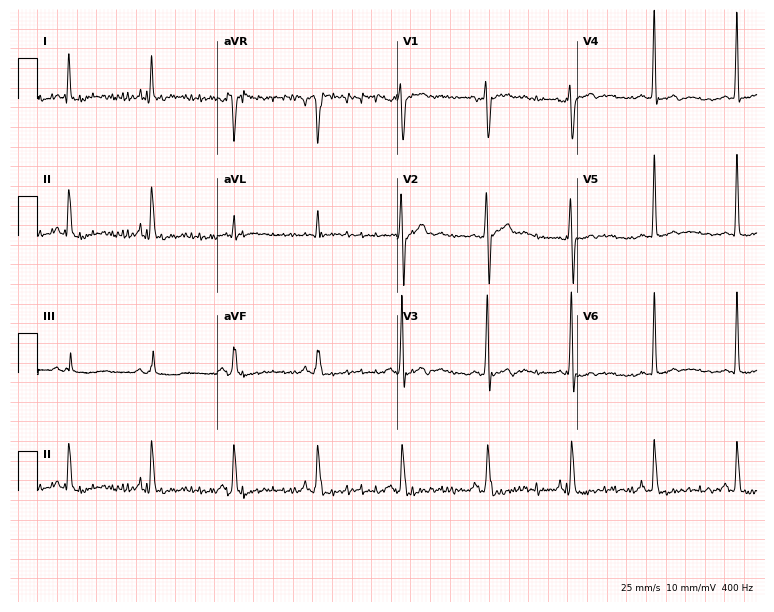
Electrocardiogram (7.3-second recording at 400 Hz), a man, 48 years old. Of the six screened findings (first-degree AV block, right bundle branch block, left bundle branch block, sinus bradycardia, atrial fibrillation, sinus tachycardia), none is recorded.